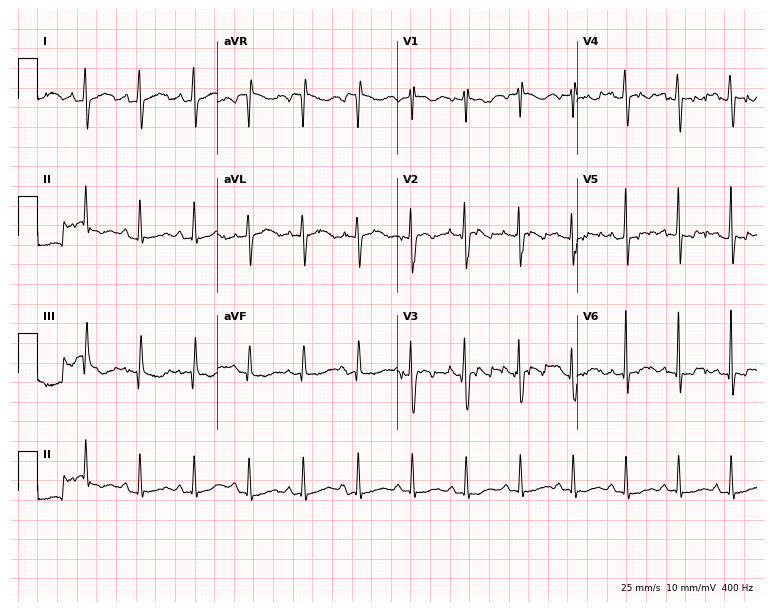
12-lead ECG from a 26-year-old male. Findings include sinus tachycardia (a sinus rate of 100 beats per minute or more).